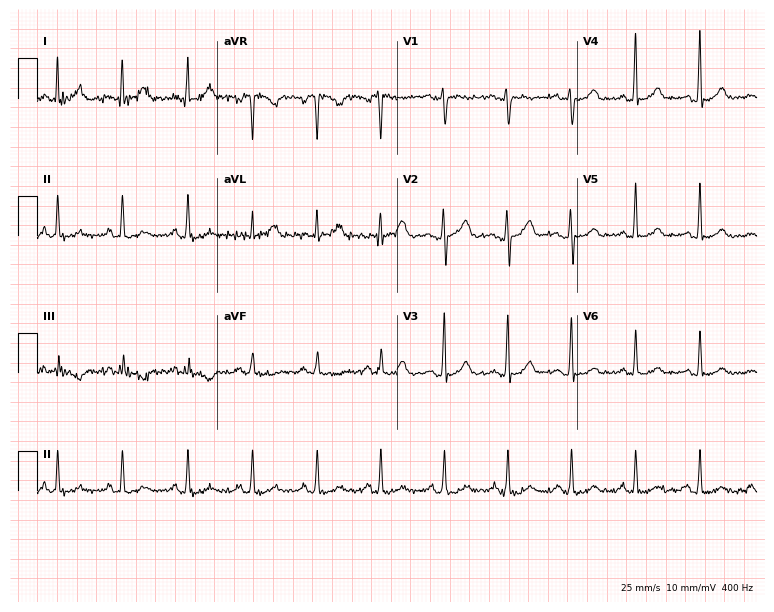
12-lead ECG from a female patient, 35 years old. Recorded interpretation: within normal limits.